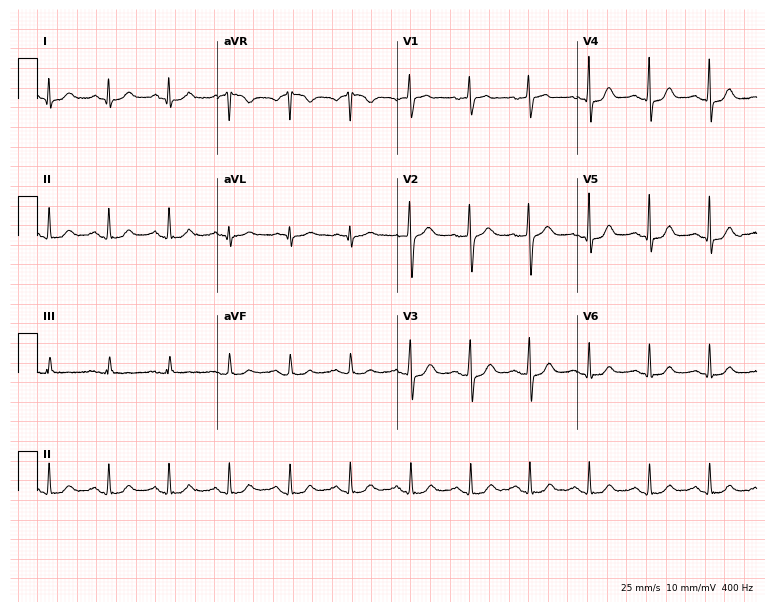
12-lead ECG from a 59-year-old man (7.3-second recording at 400 Hz). Recorded interpretation: within normal limits.